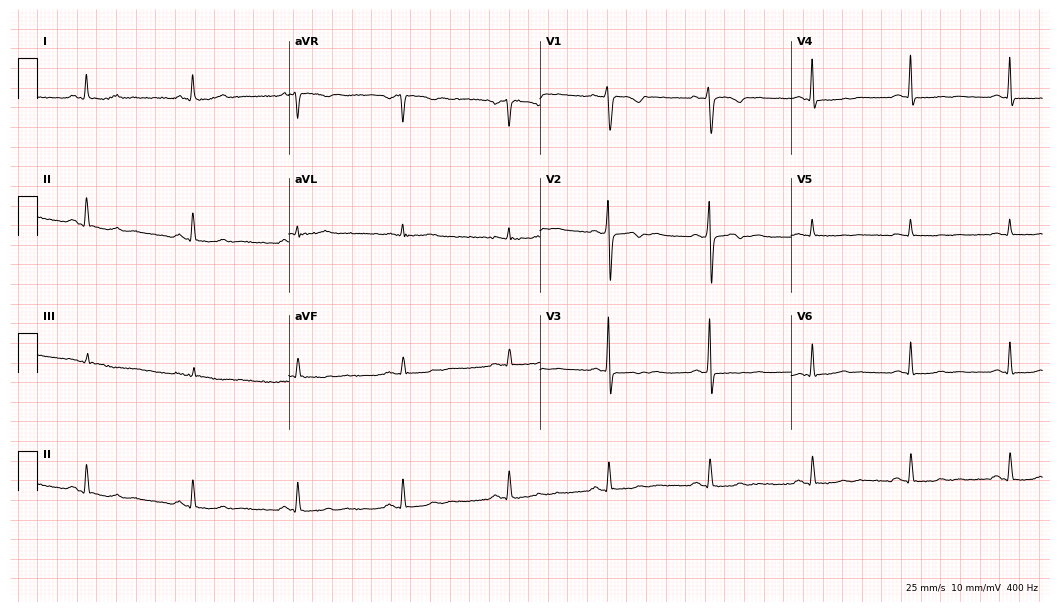
ECG — a 42-year-old female. Screened for six findings — first-degree AV block, right bundle branch block (RBBB), left bundle branch block (LBBB), sinus bradycardia, atrial fibrillation (AF), sinus tachycardia — none is recorded.